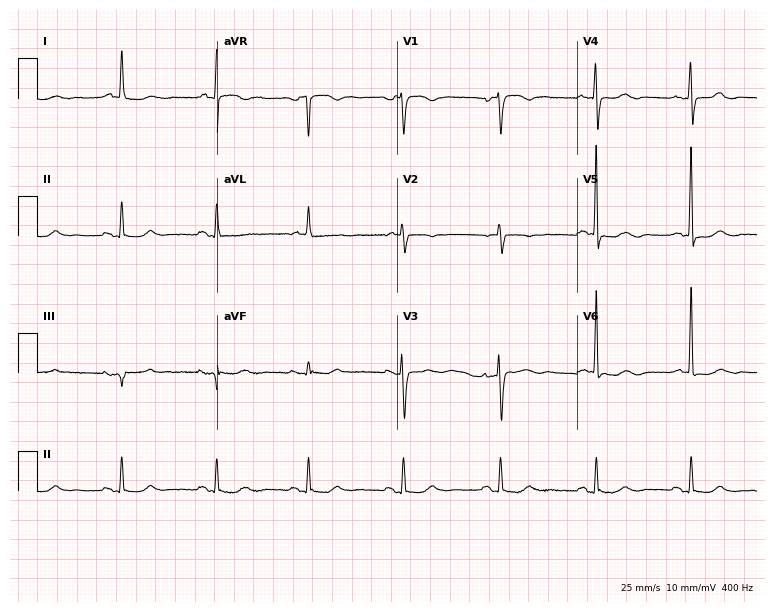
Standard 12-lead ECG recorded from a female patient, 81 years old. None of these six findings is recorded: first-degree AV block, right bundle branch block (RBBB), left bundle branch block (LBBB), sinus bradycardia, atrial fibrillation (AF), sinus tachycardia.